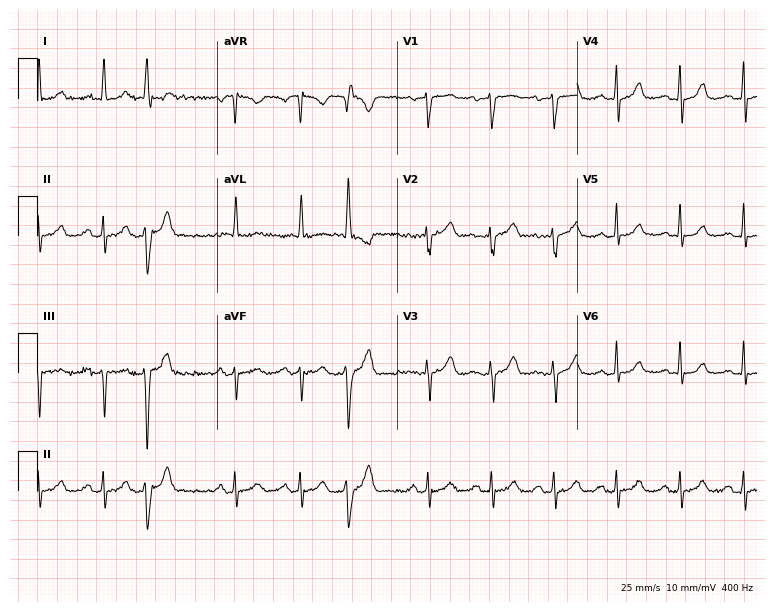
12-lead ECG (7.3-second recording at 400 Hz) from a 64-year-old female. Labelled as a normal ECG.